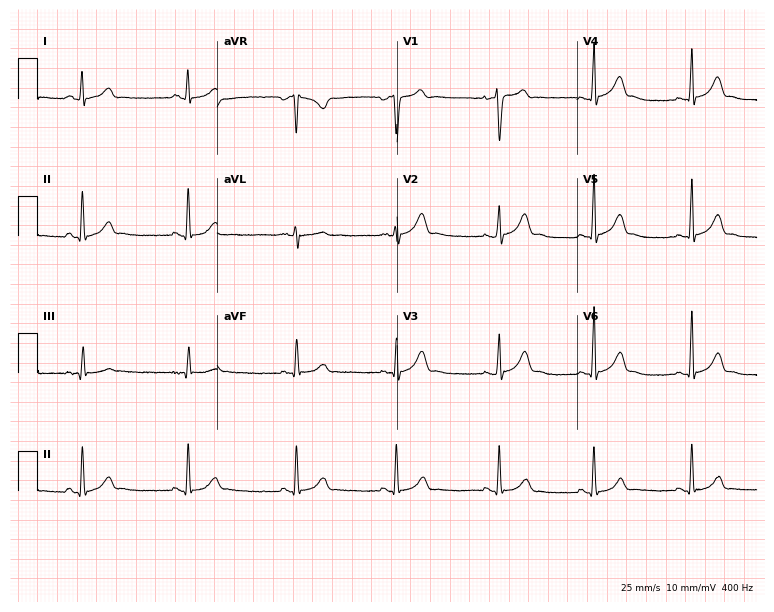
12-lead ECG from a male, 21 years old. Labelled as a normal ECG.